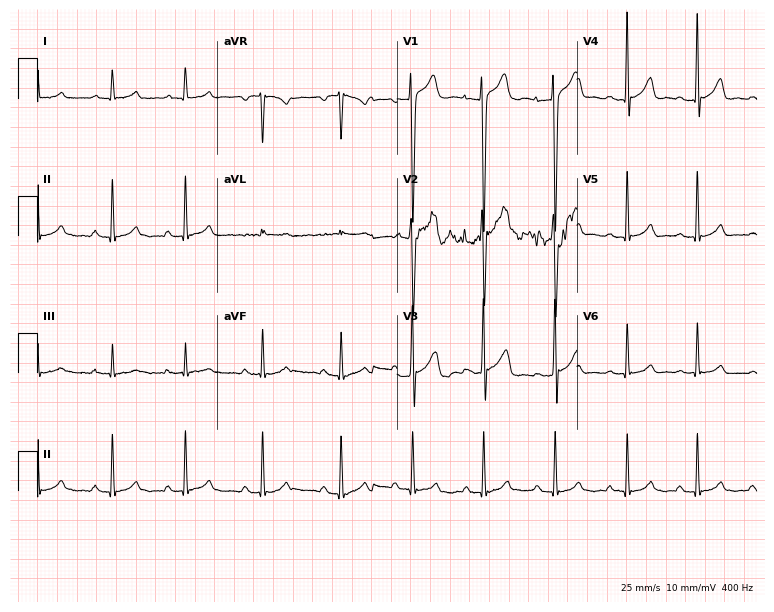
12-lead ECG from a 17-year-old male patient. Recorded interpretation: within normal limits.